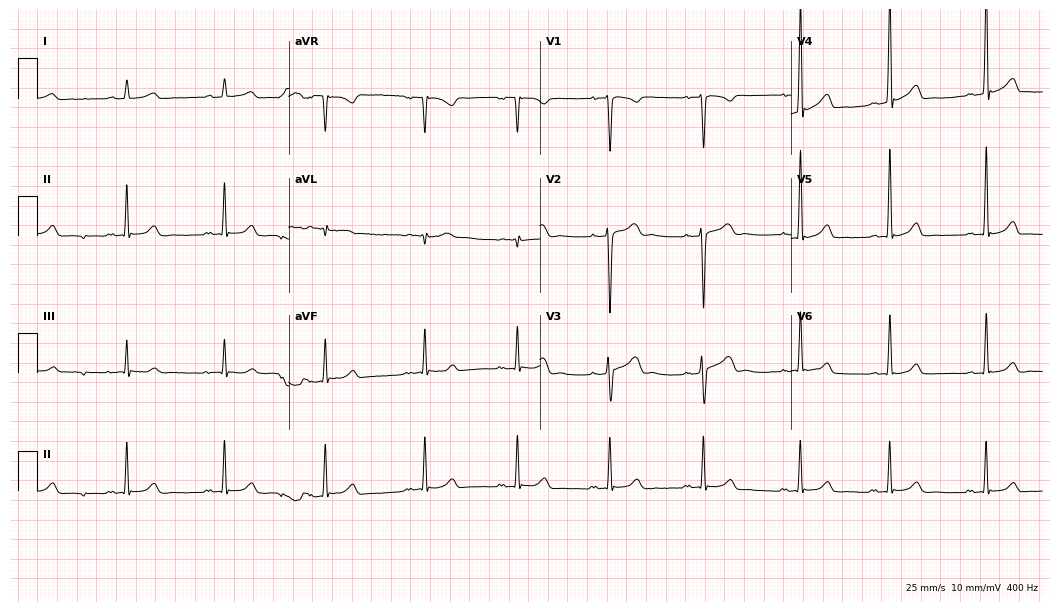
12-lead ECG from a man, 25 years old. Screened for six findings — first-degree AV block, right bundle branch block (RBBB), left bundle branch block (LBBB), sinus bradycardia, atrial fibrillation (AF), sinus tachycardia — none is recorded. Other findings, if any, are not listed.